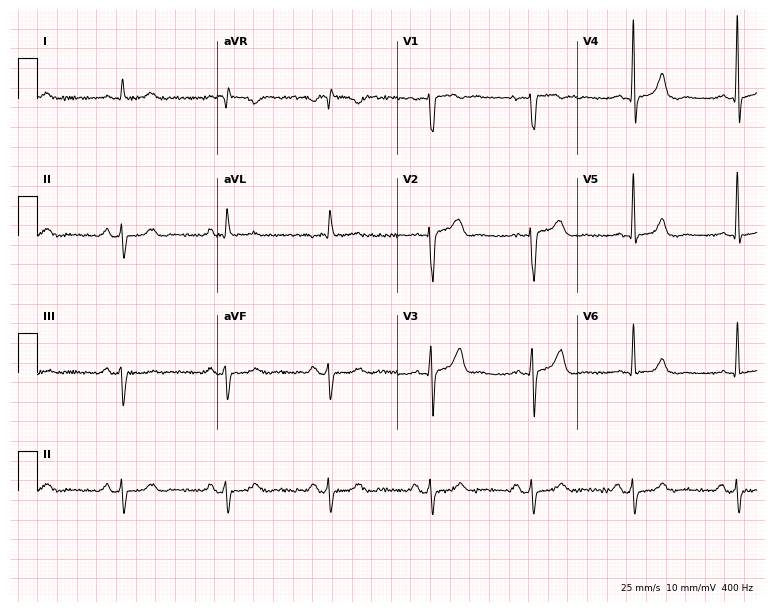
Resting 12-lead electrocardiogram. Patient: a 79-year-old male. None of these six findings is recorded: first-degree AV block, right bundle branch block, left bundle branch block, sinus bradycardia, atrial fibrillation, sinus tachycardia.